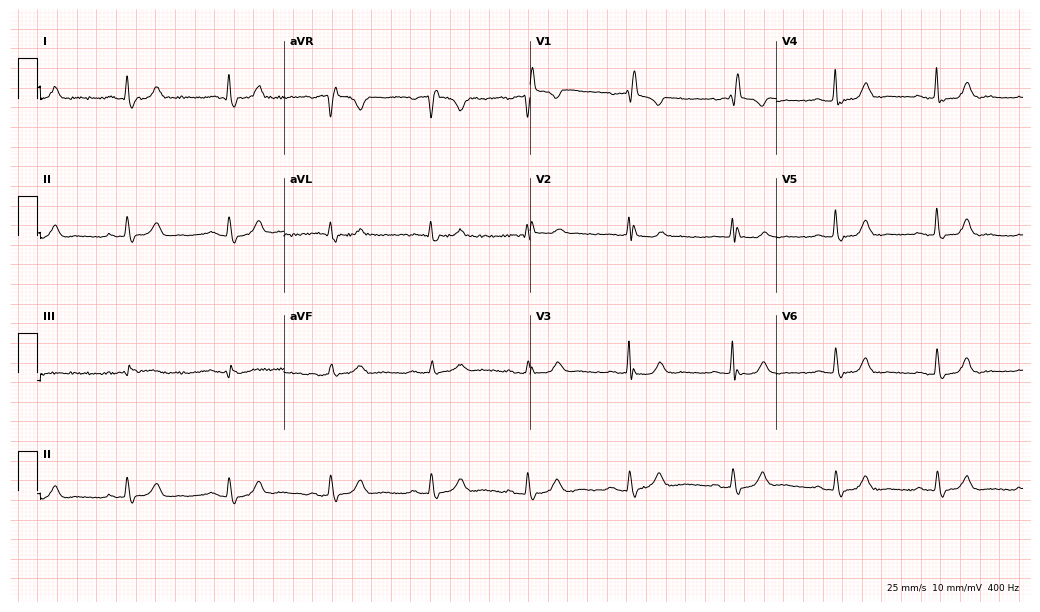
ECG (10-second recording at 400 Hz) — a woman, 77 years old. Findings include right bundle branch block.